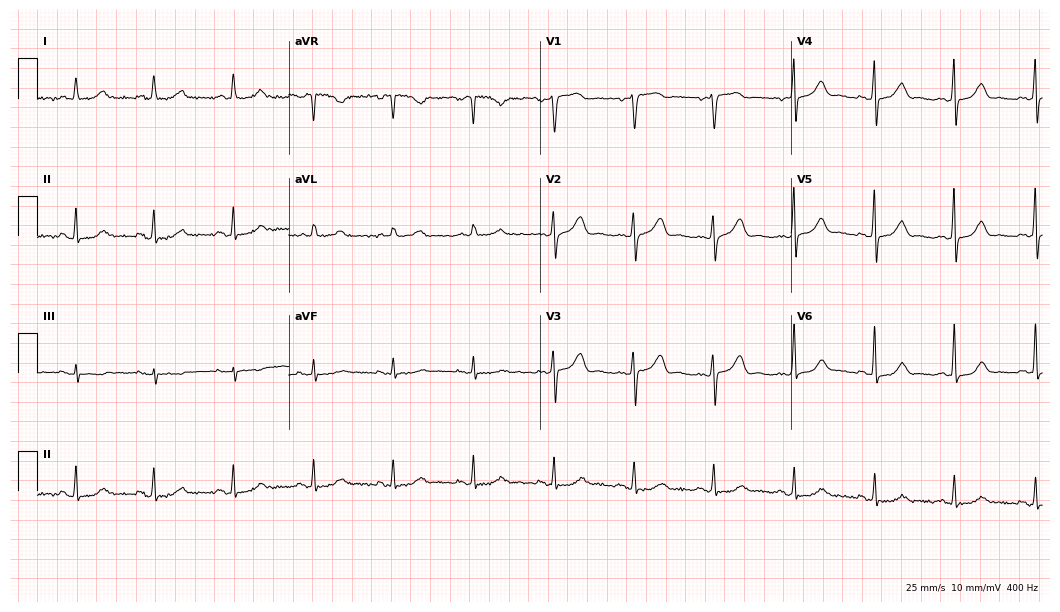
ECG — a female, 54 years old. Labelled as a normal ECG.